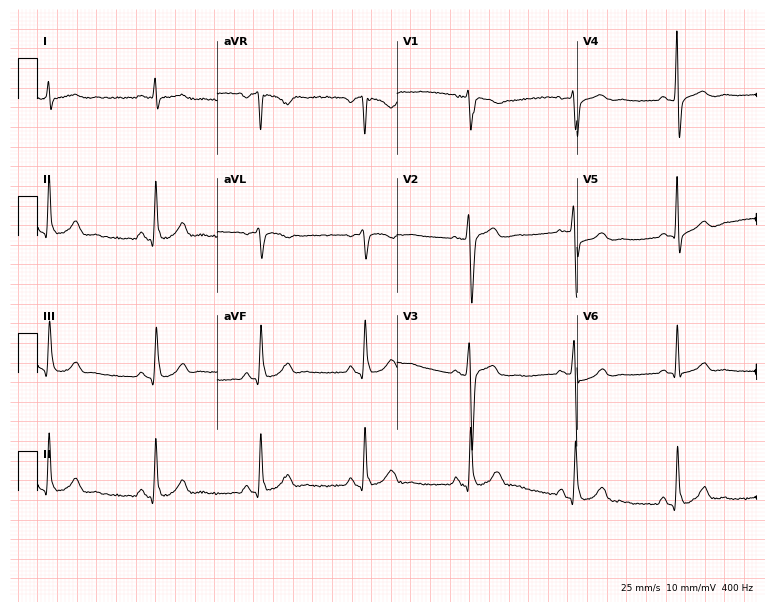
Resting 12-lead electrocardiogram. Patient: a male, 44 years old. None of these six findings is recorded: first-degree AV block, right bundle branch block, left bundle branch block, sinus bradycardia, atrial fibrillation, sinus tachycardia.